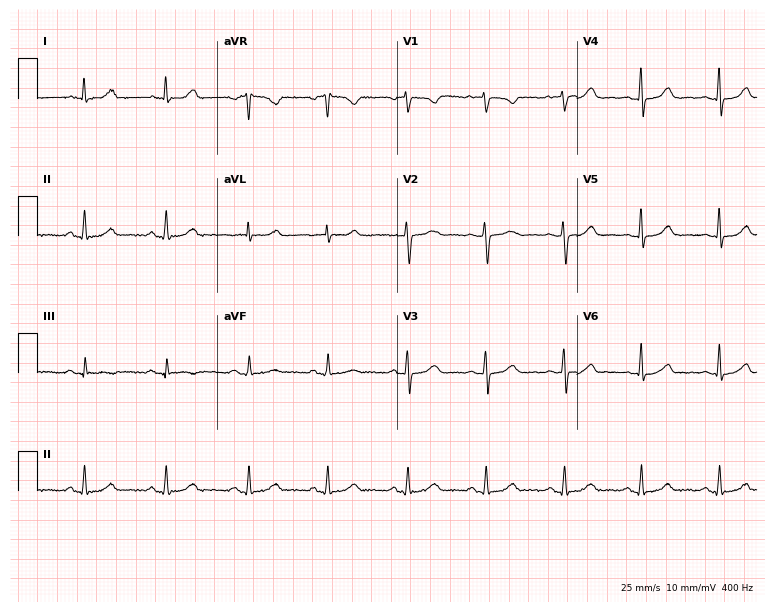
12-lead ECG from a 46-year-old female patient. Recorded interpretation: within normal limits.